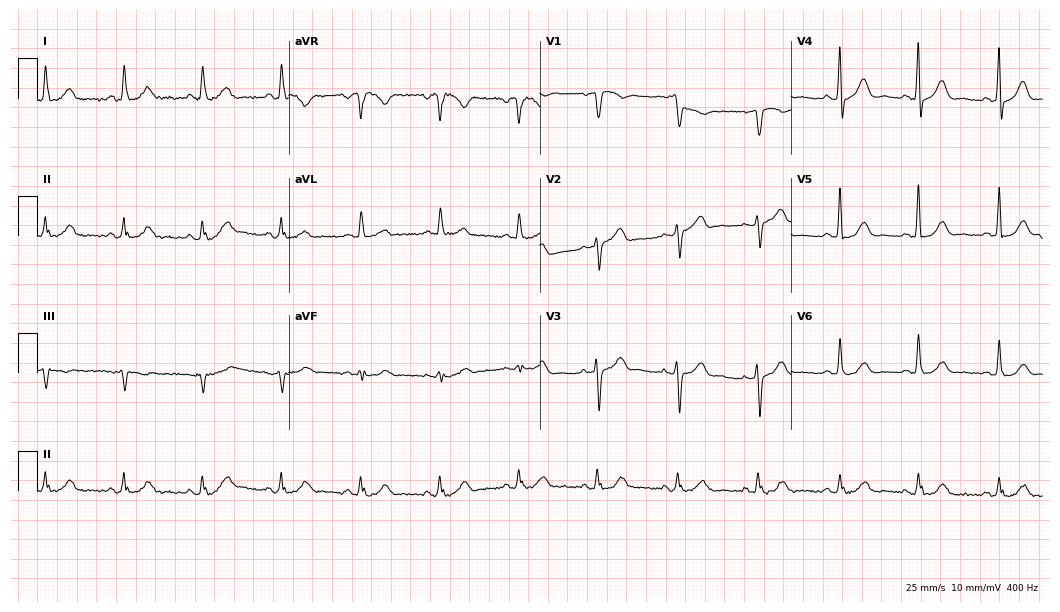
12-lead ECG from a 74-year-old male patient (10.2-second recording at 400 Hz). Recorded interpretation: within normal limits.